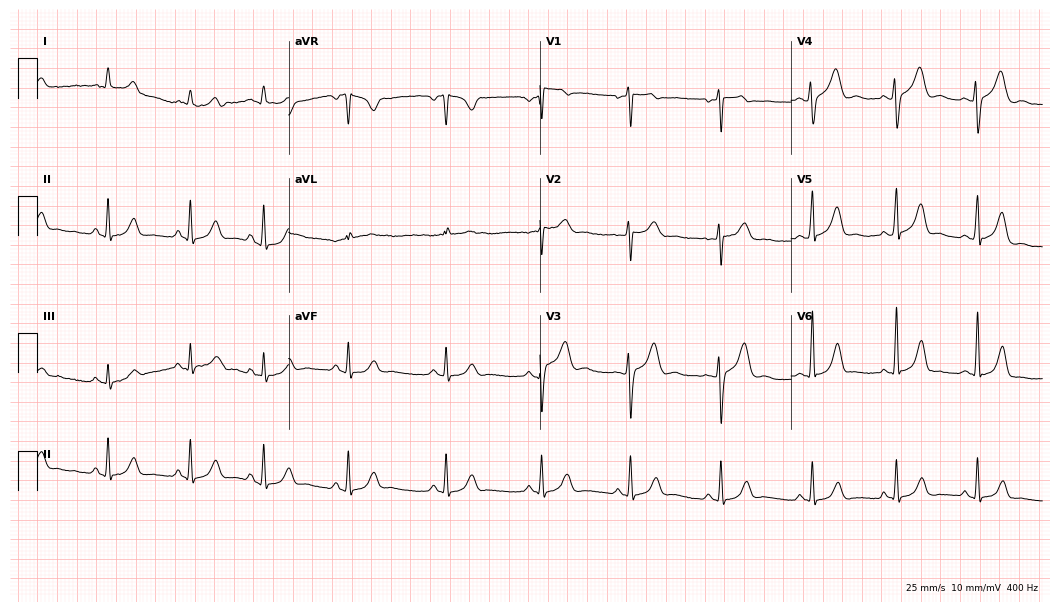
12-lead ECG from a 35-year-old woman (10.2-second recording at 400 Hz). Recorded interpretation: within normal limits.